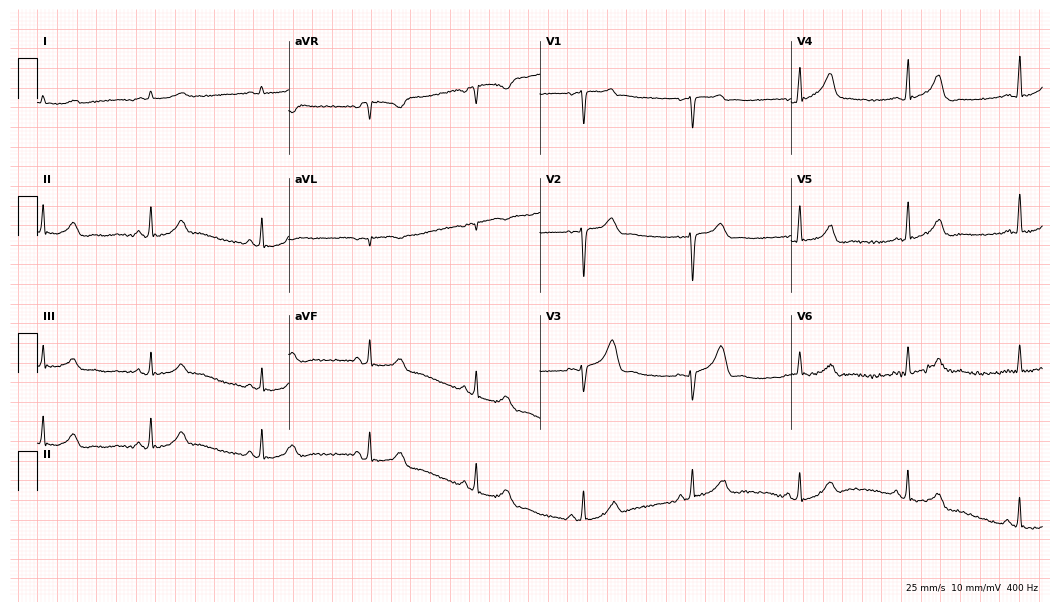
Electrocardiogram (10.2-second recording at 400 Hz), a 40-year-old female patient. Of the six screened findings (first-degree AV block, right bundle branch block (RBBB), left bundle branch block (LBBB), sinus bradycardia, atrial fibrillation (AF), sinus tachycardia), none is recorded. Findings outside these six are not listed.